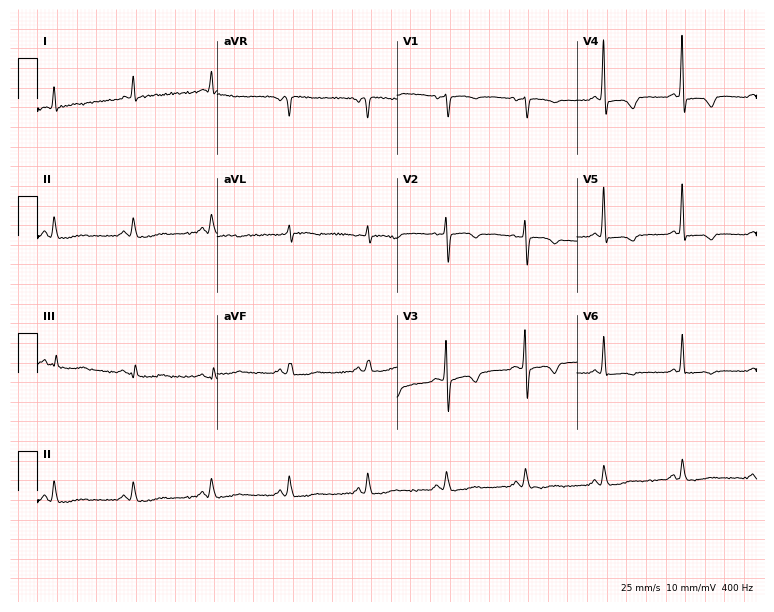
Electrocardiogram, a female, 78 years old. Of the six screened findings (first-degree AV block, right bundle branch block (RBBB), left bundle branch block (LBBB), sinus bradycardia, atrial fibrillation (AF), sinus tachycardia), none is recorded. Other findings, if any, are not listed.